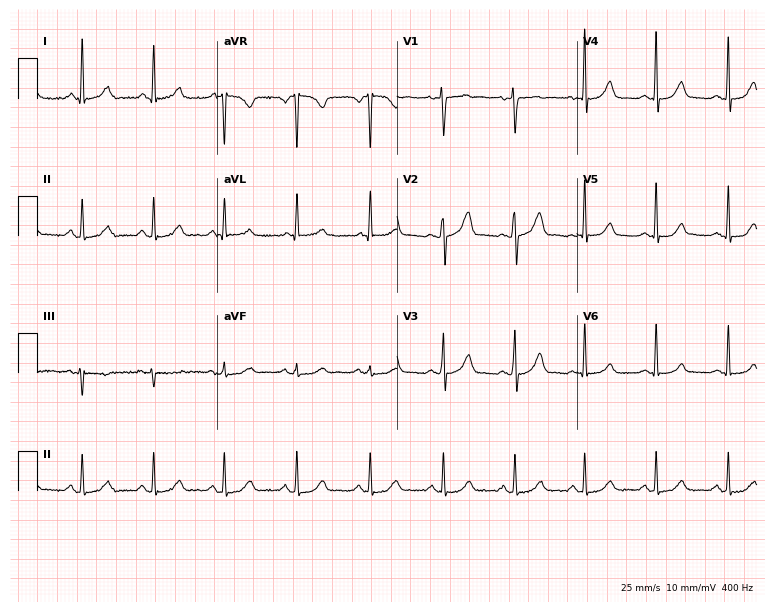
Resting 12-lead electrocardiogram (7.3-second recording at 400 Hz). Patient: a 40-year-old female. Read as a normal ECG.